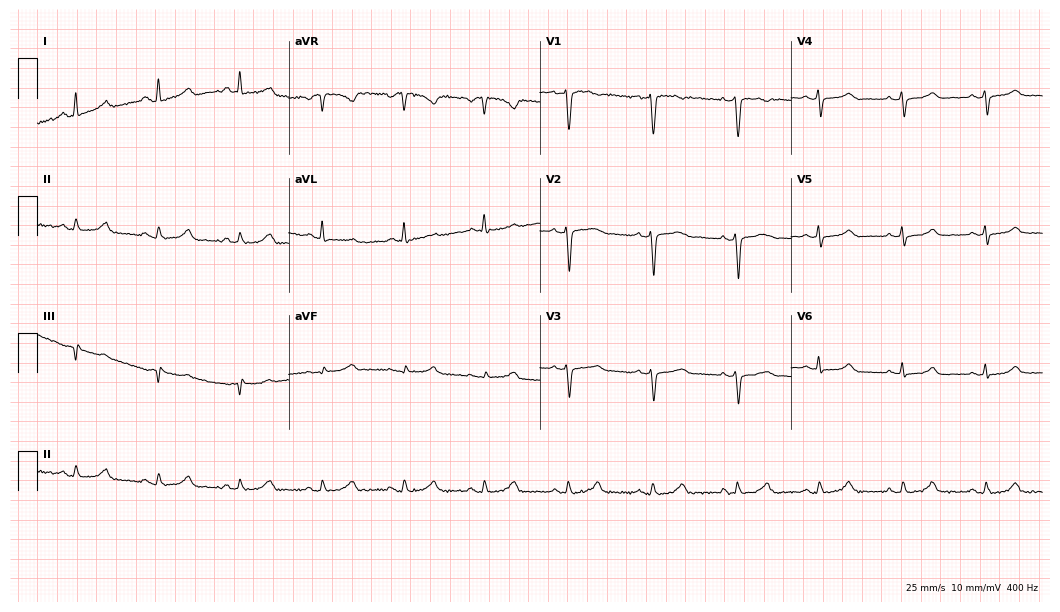
Electrocardiogram, a 47-year-old female patient. Overall reading on record: normal ECG.